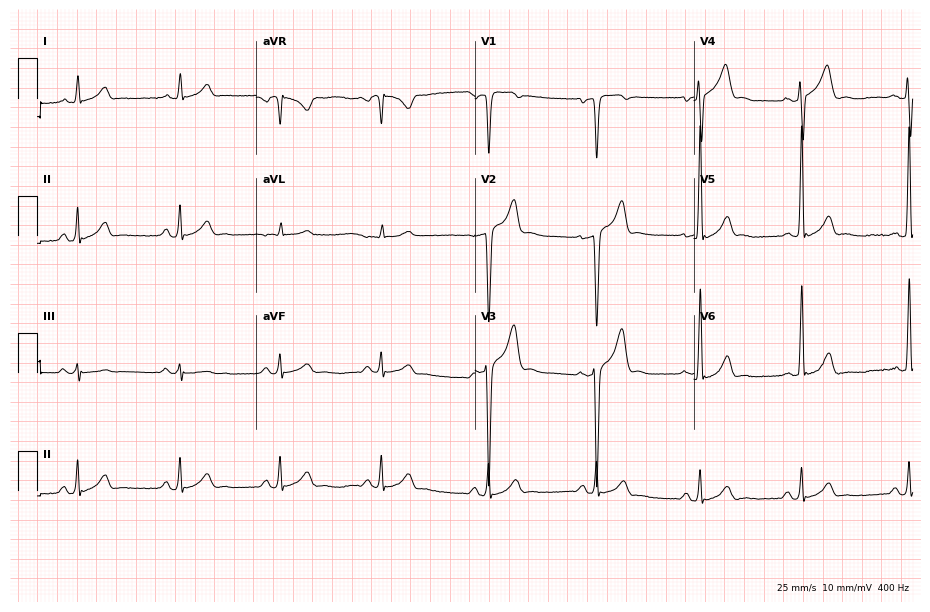
Resting 12-lead electrocardiogram (8.9-second recording at 400 Hz). Patient: a man, 23 years old. None of these six findings is recorded: first-degree AV block, right bundle branch block, left bundle branch block, sinus bradycardia, atrial fibrillation, sinus tachycardia. Only these six findings were labelled.